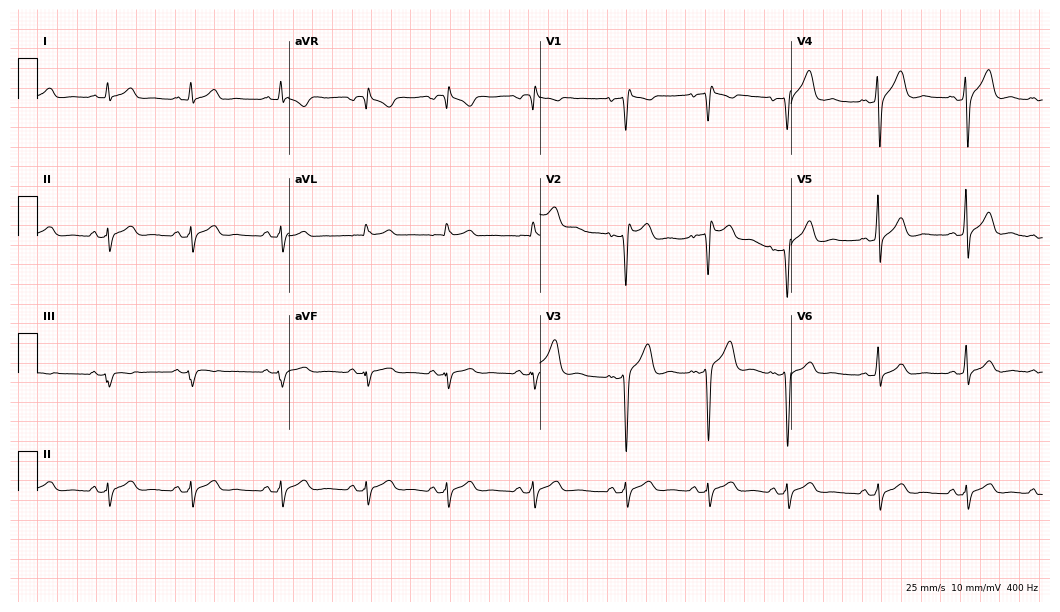
12-lead ECG from a 25-year-old male patient. Screened for six findings — first-degree AV block, right bundle branch block, left bundle branch block, sinus bradycardia, atrial fibrillation, sinus tachycardia — none is recorded. Findings outside these six are not listed.